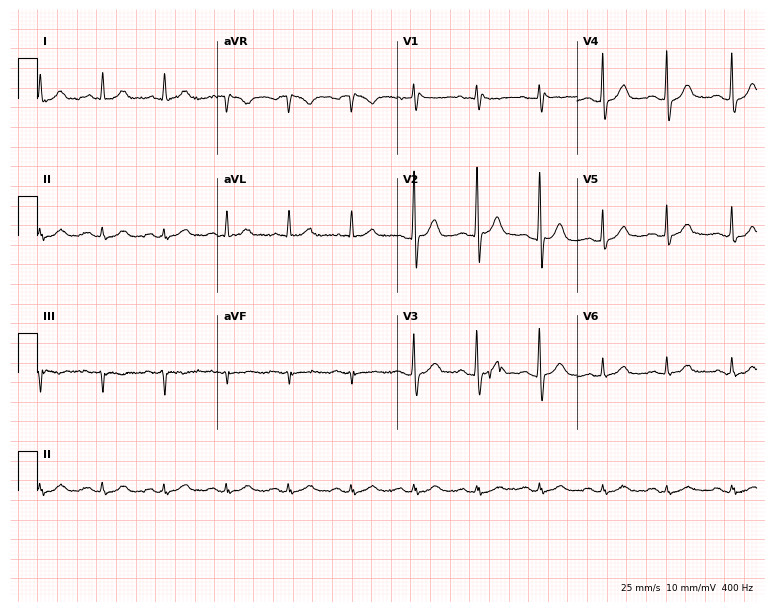
Standard 12-lead ECG recorded from a man, 82 years old. Read as a normal ECG.